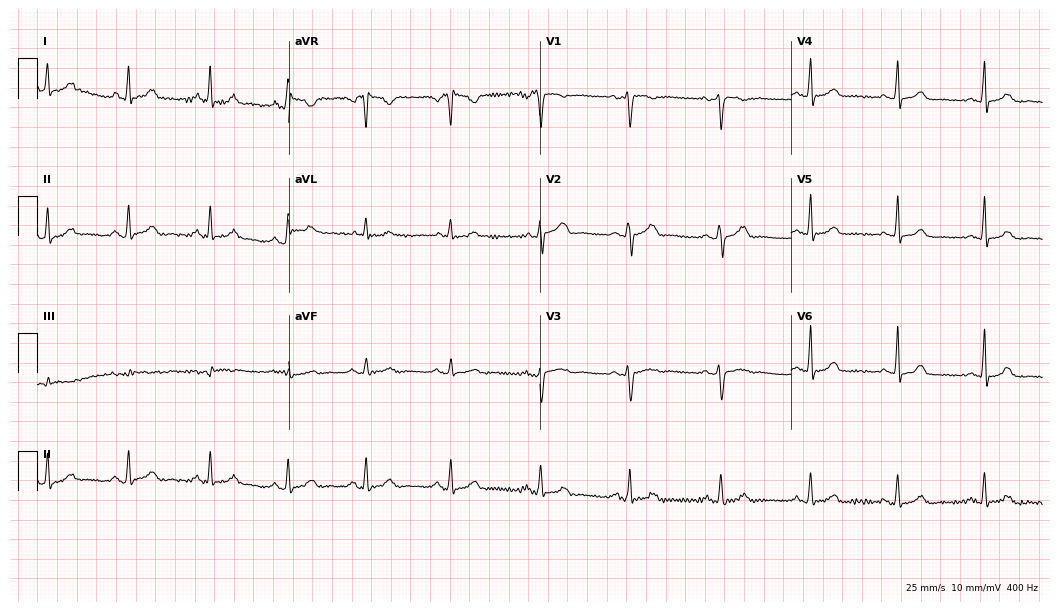
12-lead ECG from a female patient, 33 years old. Labelled as a normal ECG.